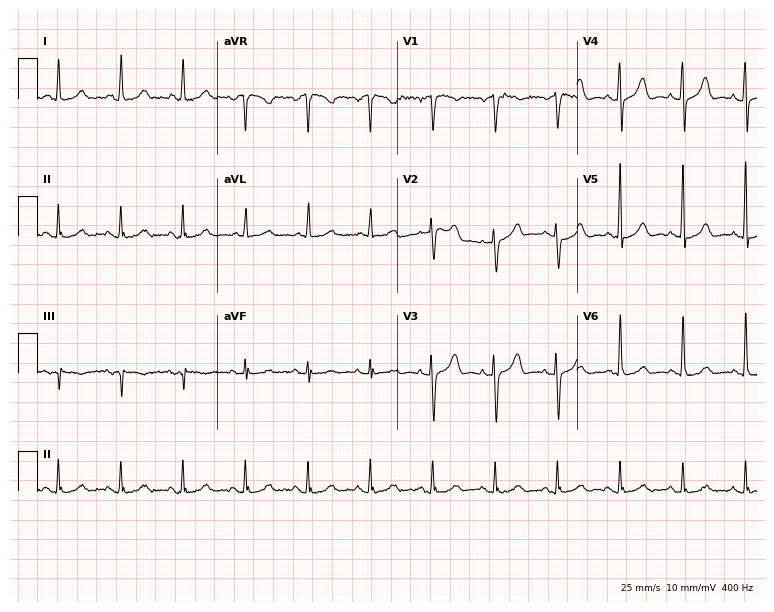
Resting 12-lead electrocardiogram (7.3-second recording at 400 Hz). Patient: a 75-year-old woman. None of these six findings is recorded: first-degree AV block, right bundle branch block, left bundle branch block, sinus bradycardia, atrial fibrillation, sinus tachycardia. Only these six findings were labelled.